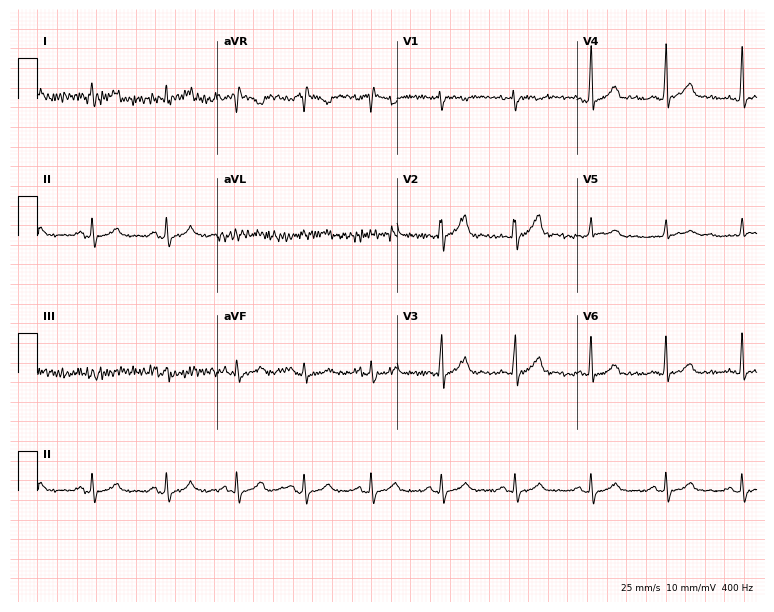
Resting 12-lead electrocardiogram (7.3-second recording at 400 Hz). Patient: a 77-year-old man. None of these six findings is recorded: first-degree AV block, right bundle branch block, left bundle branch block, sinus bradycardia, atrial fibrillation, sinus tachycardia. Only these six findings were labelled.